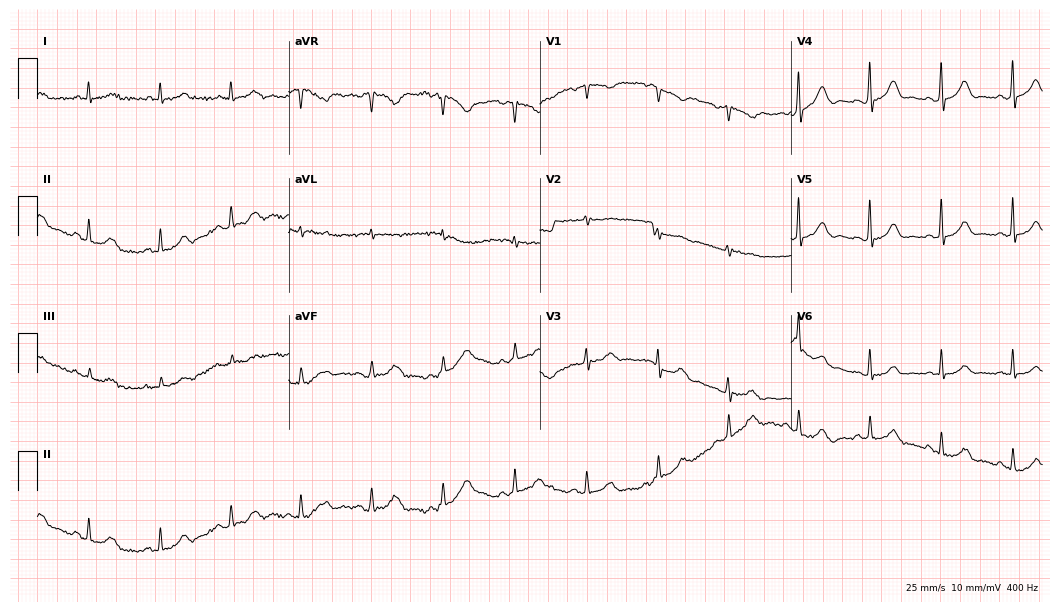
Electrocardiogram, a female patient, 74 years old. Of the six screened findings (first-degree AV block, right bundle branch block (RBBB), left bundle branch block (LBBB), sinus bradycardia, atrial fibrillation (AF), sinus tachycardia), none is recorded. Only these six findings were labelled.